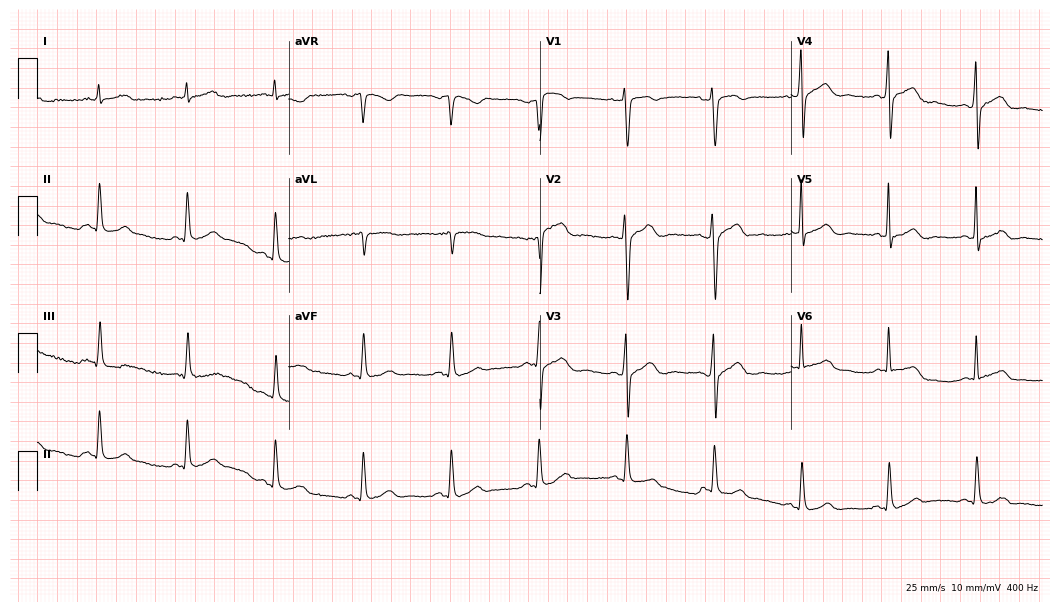
Standard 12-lead ECG recorded from a 34-year-old male (10.2-second recording at 400 Hz). None of these six findings is recorded: first-degree AV block, right bundle branch block (RBBB), left bundle branch block (LBBB), sinus bradycardia, atrial fibrillation (AF), sinus tachycardia.